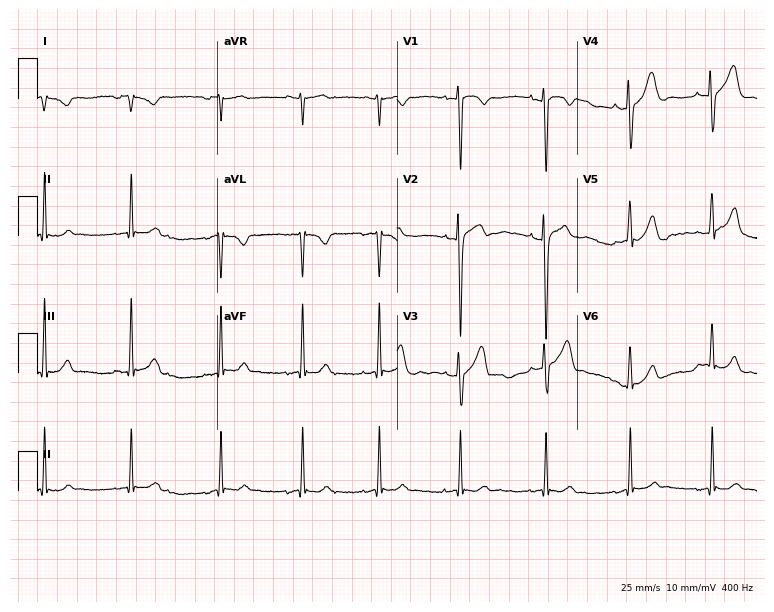
Standard 12-lead ECG recorded from a male patient, 19 years old (7.3-second recording at 400 Hz). None of these six findings is recorded: first-degree AV block, right bundle branch block (RBBB), left bundle branch block (LBBB), sinus bradycardia, atrial fibrillation (AF), sinus tachycardia. Only these six findings were labelled.